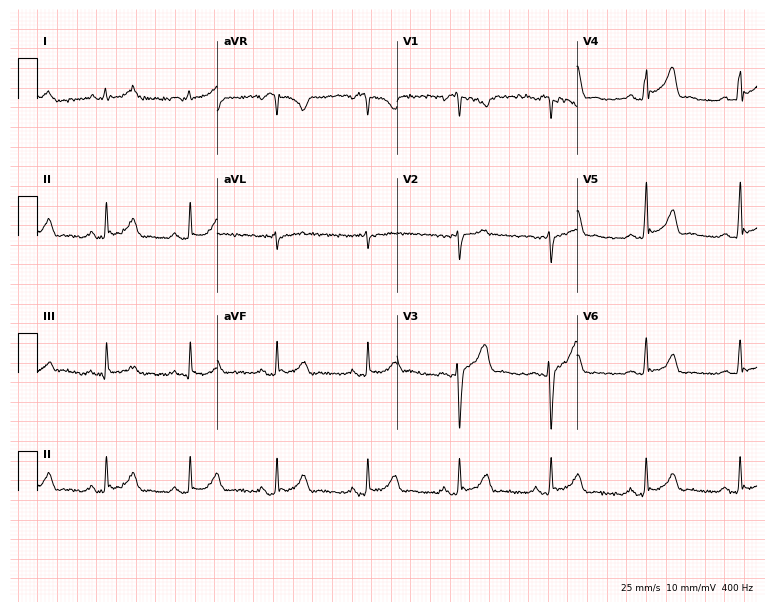
12-lead ECG from a man, 34 years old. Recorded interpretation: within normal limits.